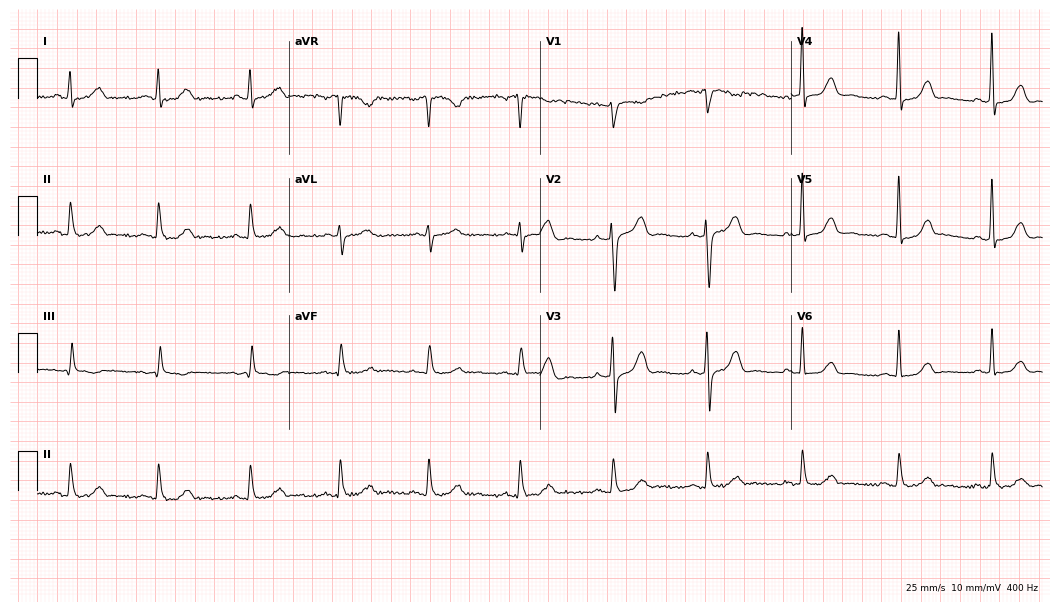
ECG — a 53-year-old woman. Labelled as a normal ECG.